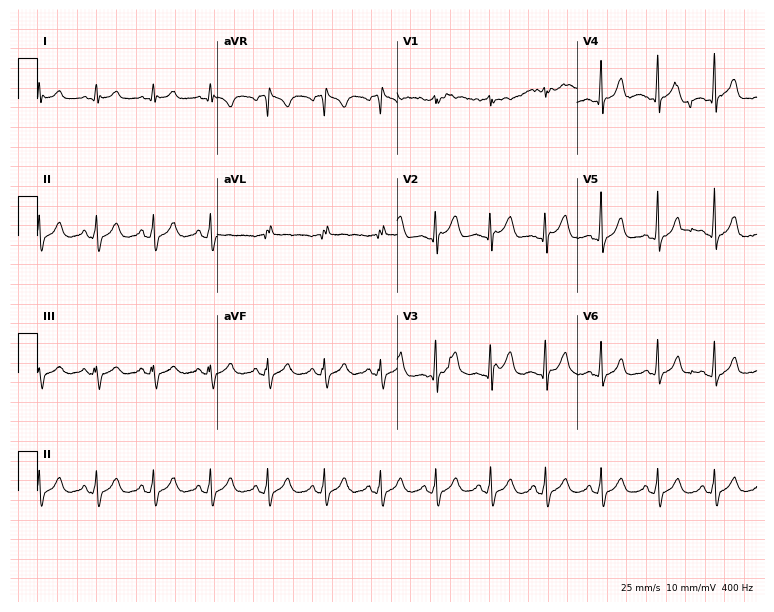
ECG (7.3-second recording at 400 Hz) — a 20-year-old female. Findings include sinus tachycardia (a sinus rate of 100 beats per minute or more).